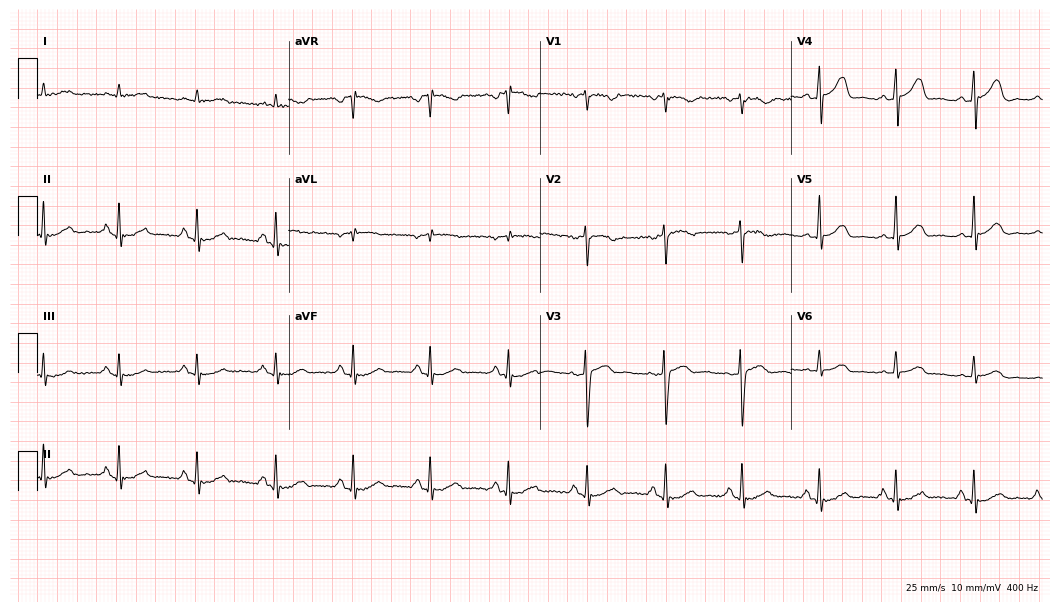
Resting 12-lead electrocardiogram. Patient: a 78-year-old male. Read as a normal ECG.